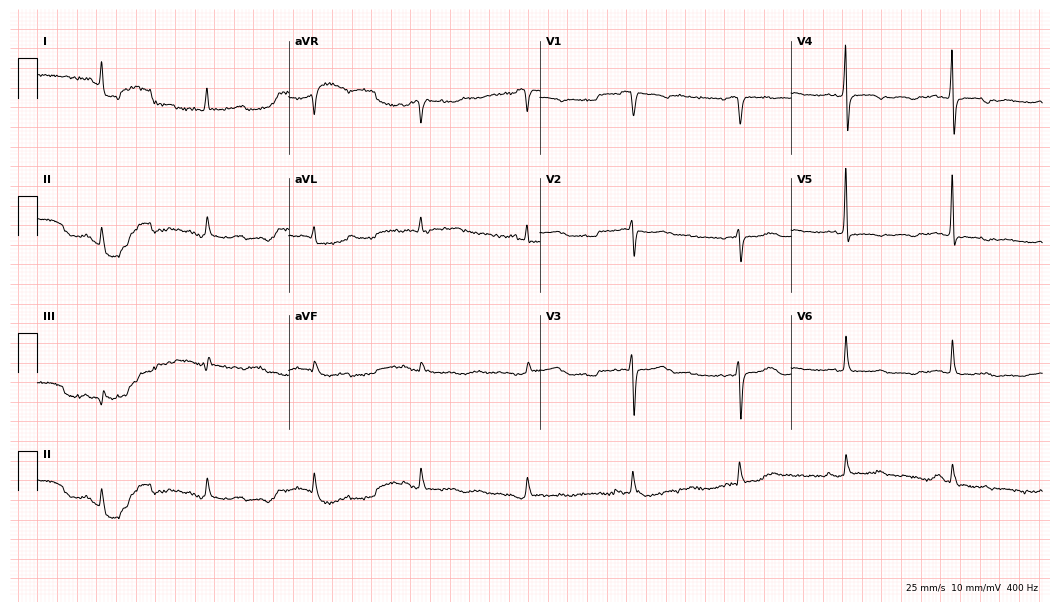
12-lead ECG (10.2-second recording at 400 Hz) from an 82-year-old female patient. Labelled as a normal ECG.